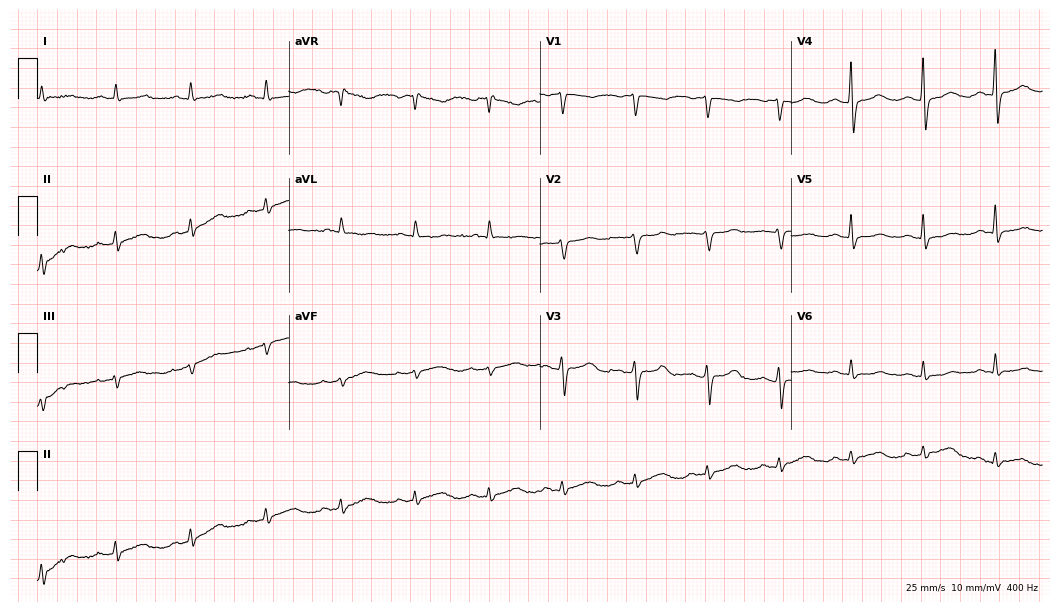
Electrocardiogram, a woman, 76 years old. Of the six screened findings (first-degree AV block, right bundle branch block (RBBB), left bundle branch block (LBBB), sinus bradycardia, atrial fibrillation (AF), sinus tachycardia), none is recorded.